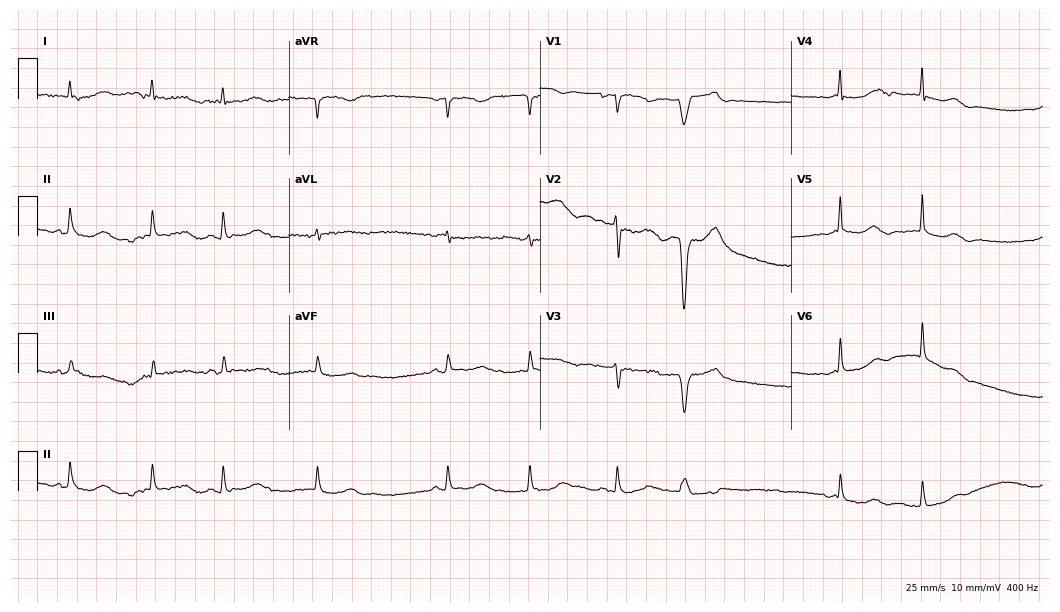
12-lead ECG from a woman, 80 years old (10.2-second recording at 400 Hz). Recorded interpretation: within normal limits.